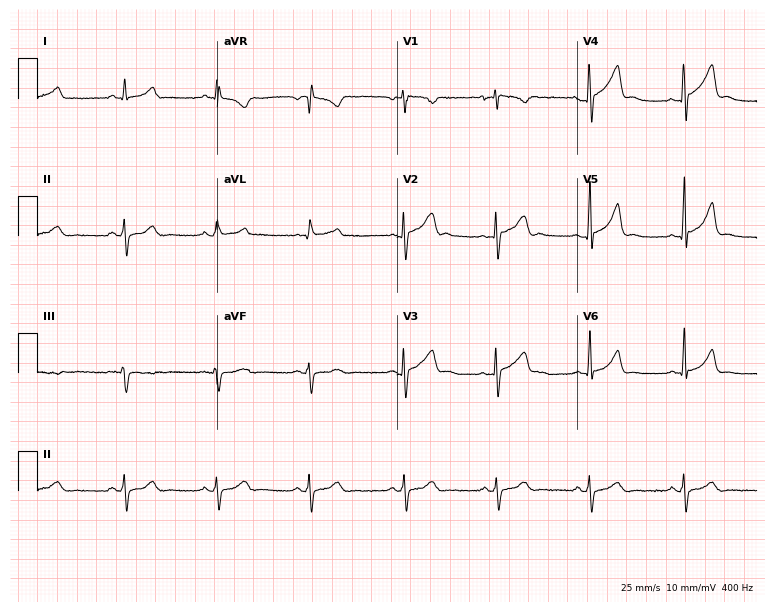
12-lead ECG from a 32-year-old man (7.3-second recording at 400 Hz). No first-degree AV block, right bundle branch block, left bundle branch block, sinus bradycardia, atrial fibrillation or sinus tachycardia recorded for this tracing. Findings outside these six are not listed.